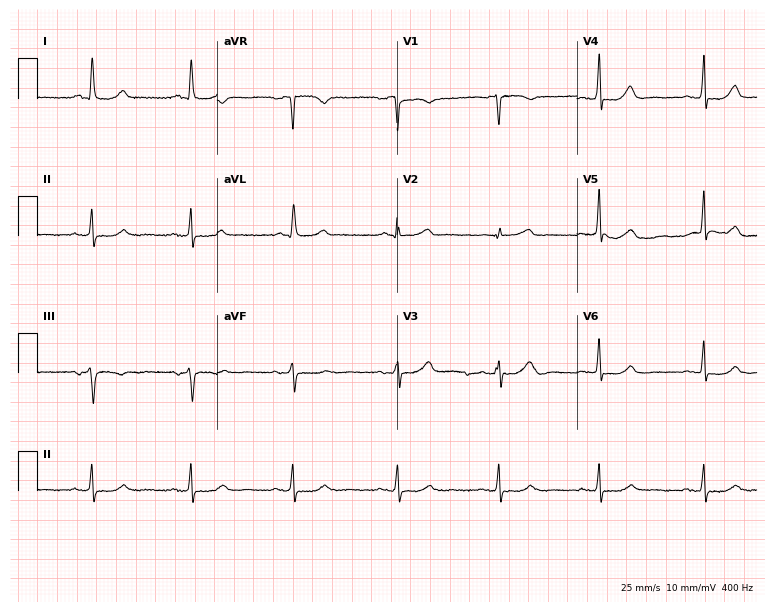
12-lead ECG from a female, 65 years old (7.3-second recording at 400 Hz). No first-degree AV block, right bundle branch block, left bundle branch block, sinus bradycardia, atrial fibrillation or sinus tachycardia recorded for this tracing.